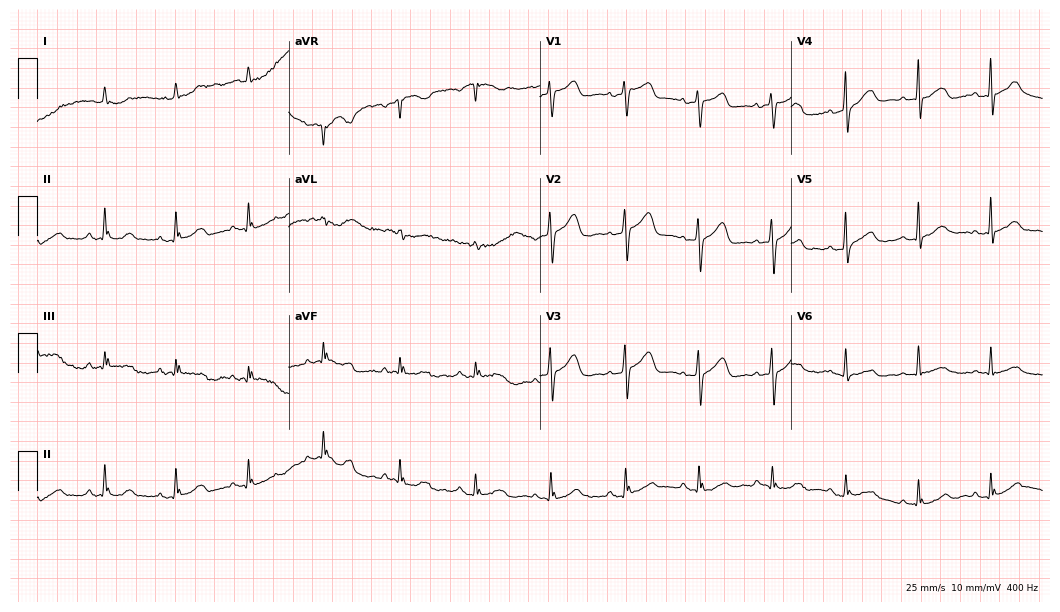
12-lead ECG (10.2-second recording at 400 Hz) from an 83-year-old female patient. Labelled as a normal ECG.